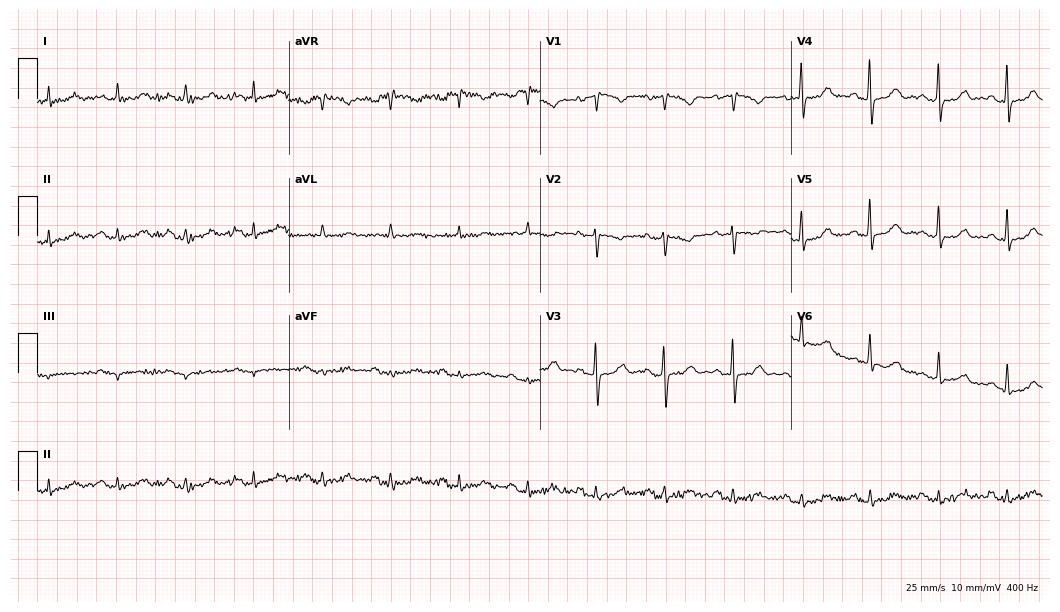
ECG (10.2-second recording at 400 Hz) — an 83-year-old male patient. Labelled as a normal ECG.